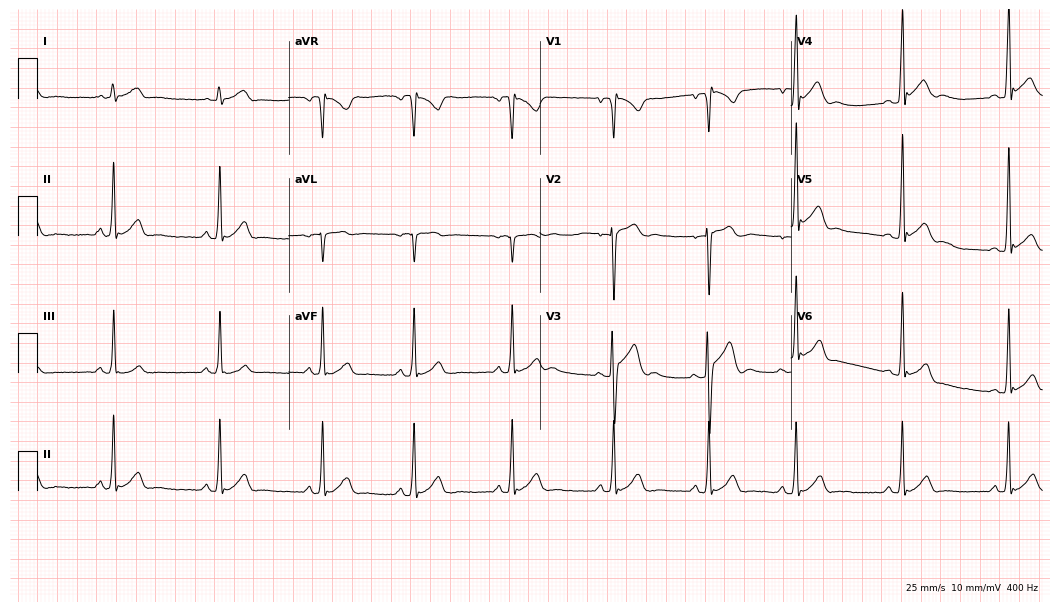
Electrocardiogram, a 17-year-old male. Of the six screened findings (first-degree AV block, right bundle branch block, left bundle branch block, sinus bradycardia, atrial fibrillation, sinus tachycardia), none is recorded.